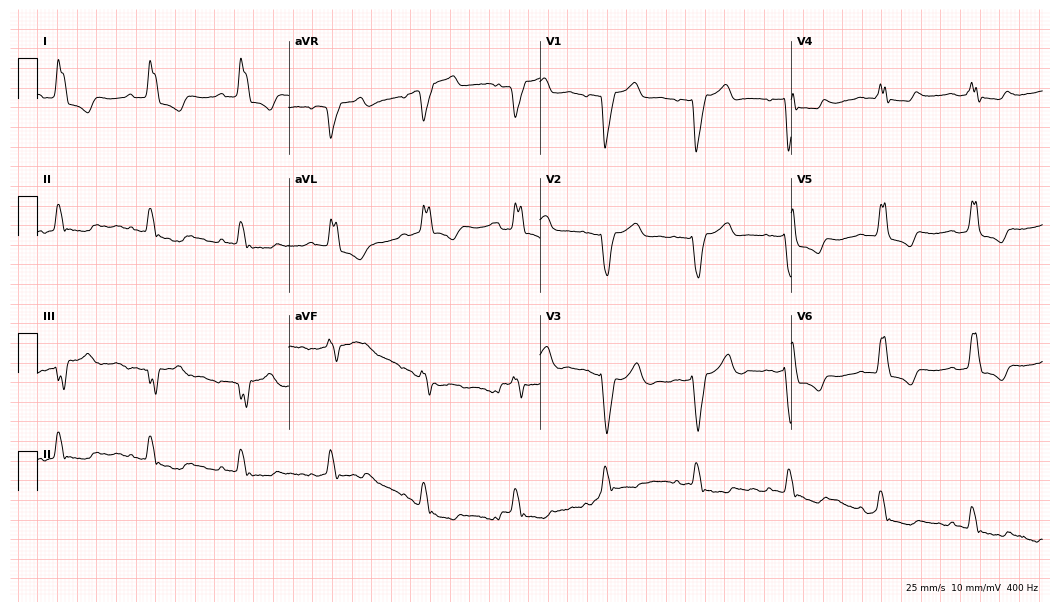
12-lead ECG from a 68-year-old male (10.2-second recording at 400 Hz). Shows left bundle branch block.